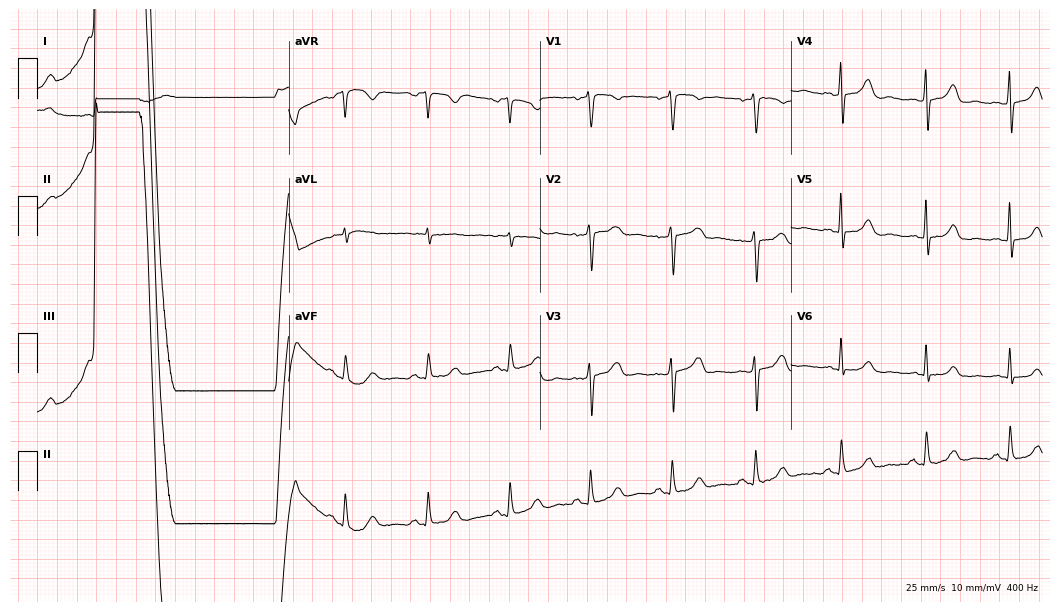
Electrocardiogram (10.2-second recording at 400 Hz), a female, 54 years old. Of the six screened findings (first-degree AV block, right bundle branch block, left bundle branch block, sinus bradycardia, atrial fibrillation, sinus tachycardia), none is recorded.